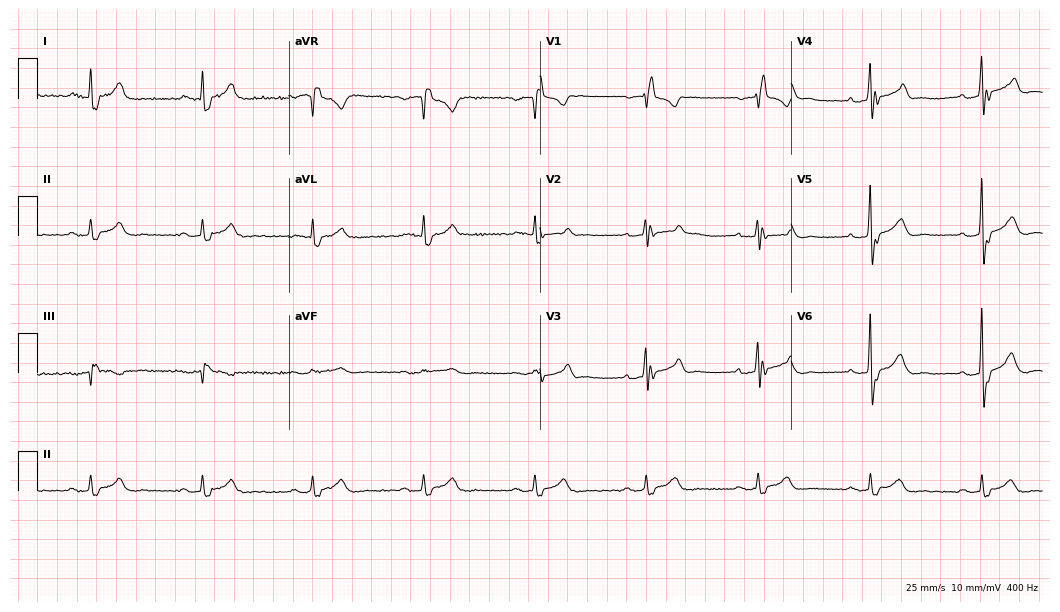
ECG (10.2-second recording at 400 Hz) — a man, 72 years old. Screened for six findings — first-degree AV block, right bundle branch block (RBBB), left bundle branch block (LBBB), sinus bradycardia, atrial fibrillation (AF), sinus tachycardia — none is recorded. Other findings, if any, are not listed.